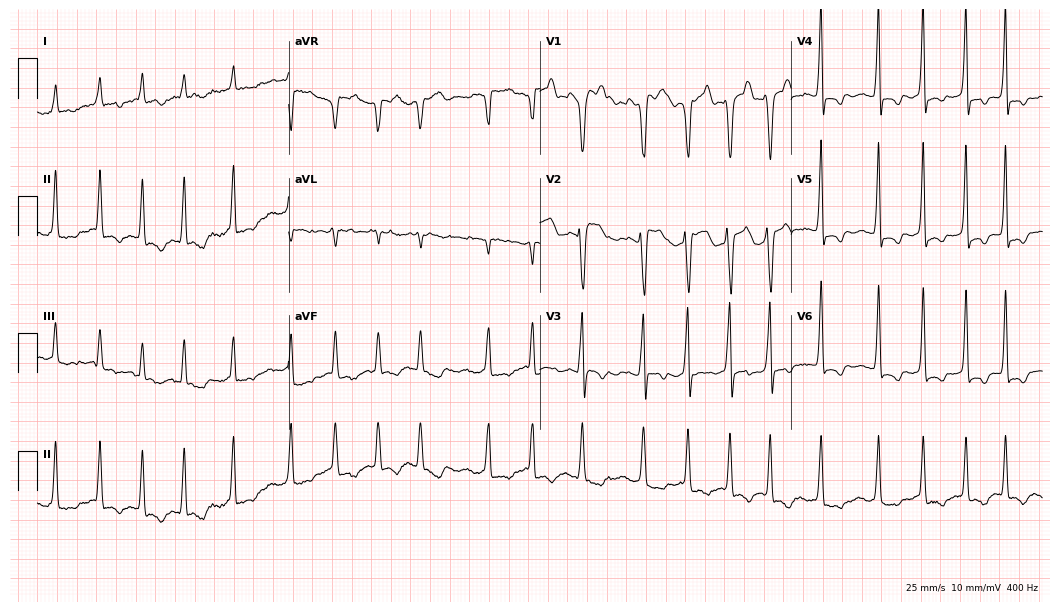
12-lead ECG from an 80-year-old male patient. Screened for six findings — first-degree AV block, right bundle branch block (RBBB), left bundle branch block (LBBB), sinus bradycardia, atrial fibrillation (AF), sinus tachycardia — none is recorded. Other findings, if any, are not listed.